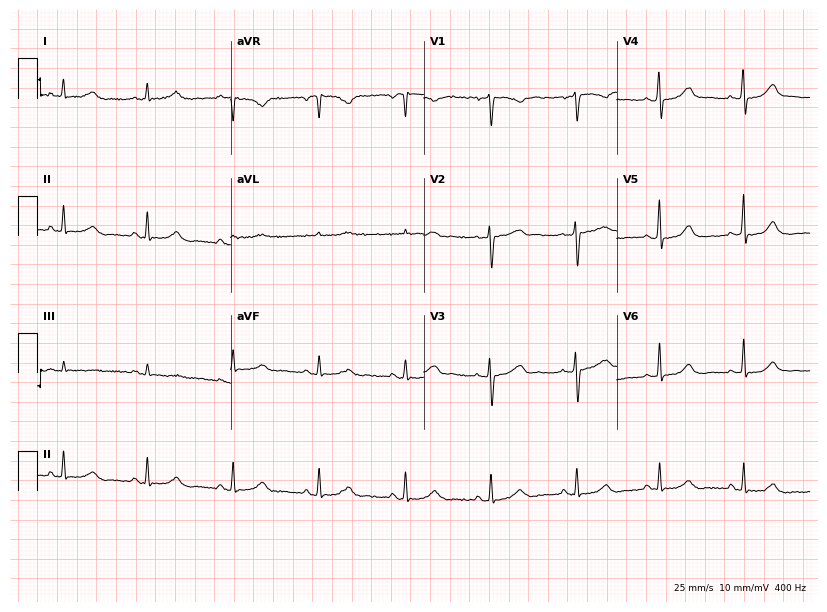
12-lead ECG from a 52-year-old female patient. No first-degree AV block, right bundle branch block, left bundle branch block, sinus bradycardia, atrial fibrillation or sinus tachycardia recorded for this tracing. Other findings, if any, are not listed.